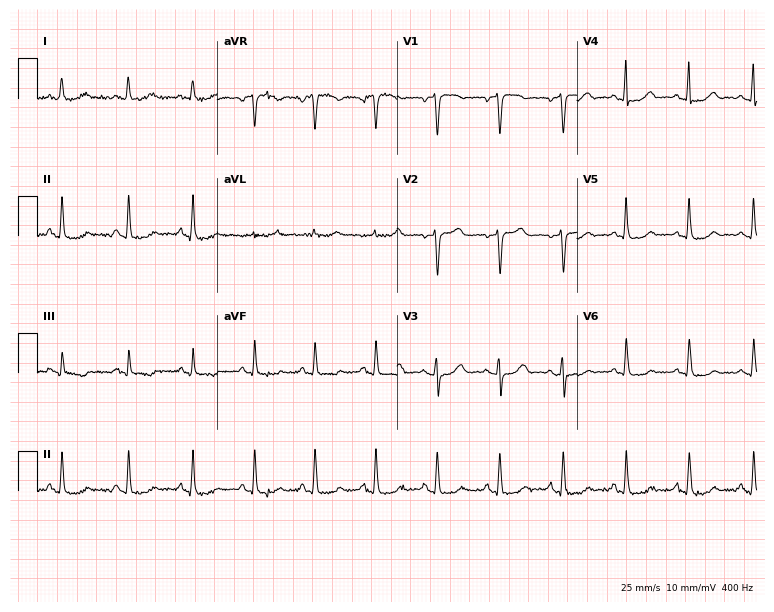
ECG (7.3-second recording at 400 Hz) — a female, 54 years old. Screened for six findings — first-degree AV block, right bundle branch block, left bundle branch block, sinus bradycardia, atrial fibrillation, sinus tachycardia — none is recorded. Findings outside these six are not listed.